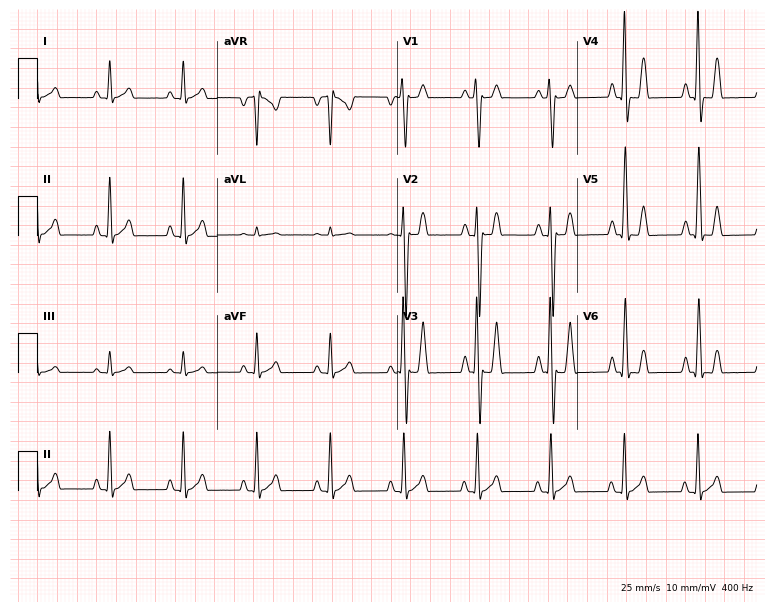
Standard 12-lead ECG recorded from a male patient, 33 years old (7.3-second recording at 400 Hz). None of these six findings is recorded: first-degree AV block, right bundle branch block, left bundle branch block, sinus bradycardia, atrial fibrillation, sinus tachycardia.